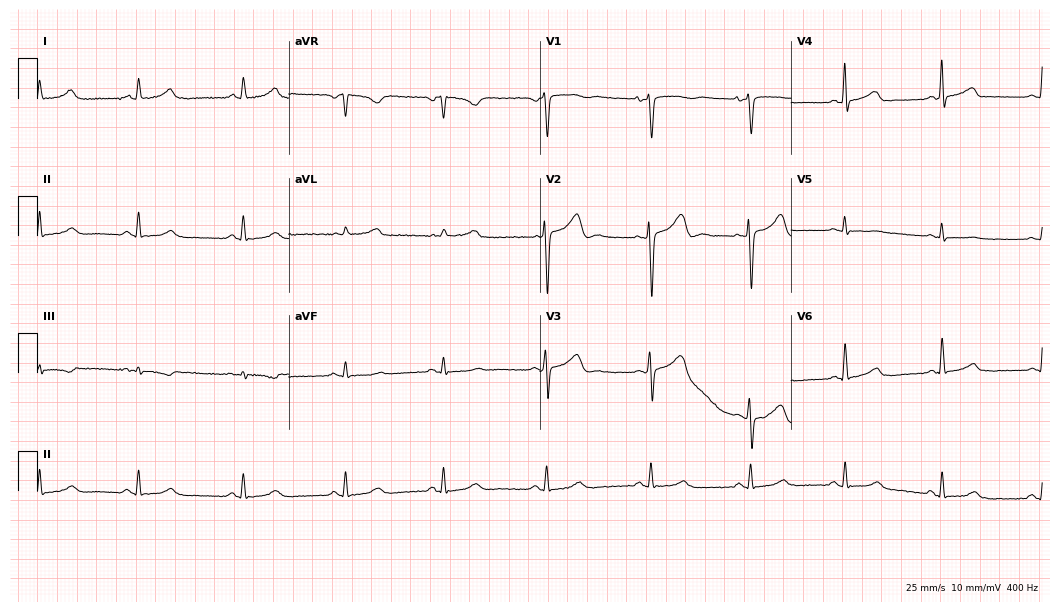
Resting 12-lead electrocardiogram. Patient: a female, 41 years old. None of these six findings is recorded: first-degree AV block, right bundle branch block (RBBB), left bundle branch block (LBBB), sinus bradycardia, atrial fibrillation (AF), sinus tachycardia.